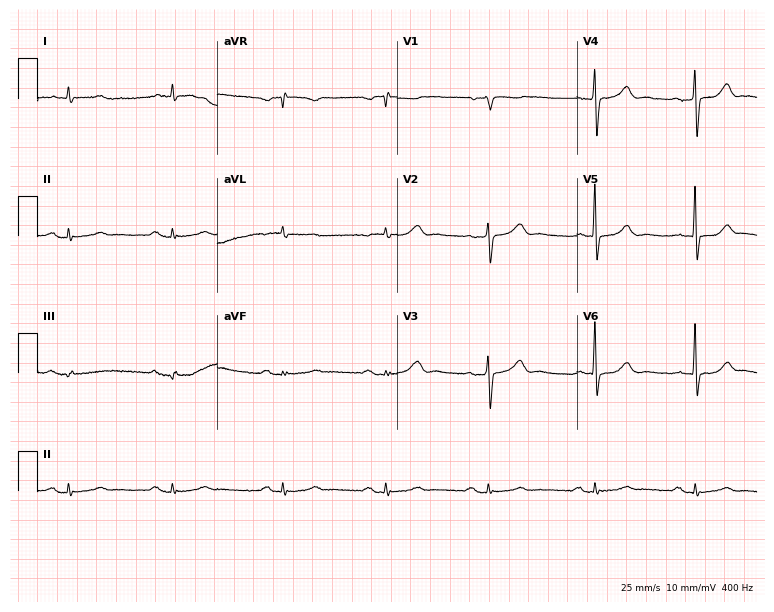
ECG — a male patient, 76 years old. Labelled as a normal ECG.